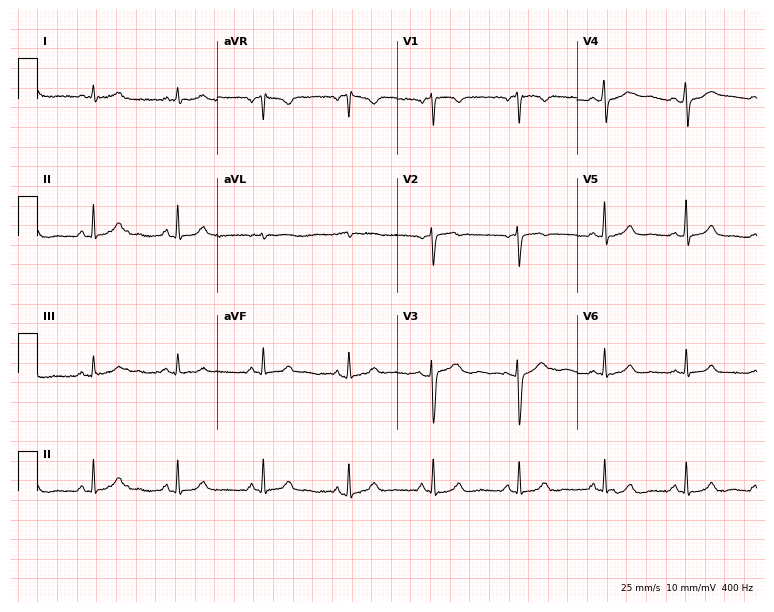
ECG — a 32-year-old woman. Labelled as a normal ECG.